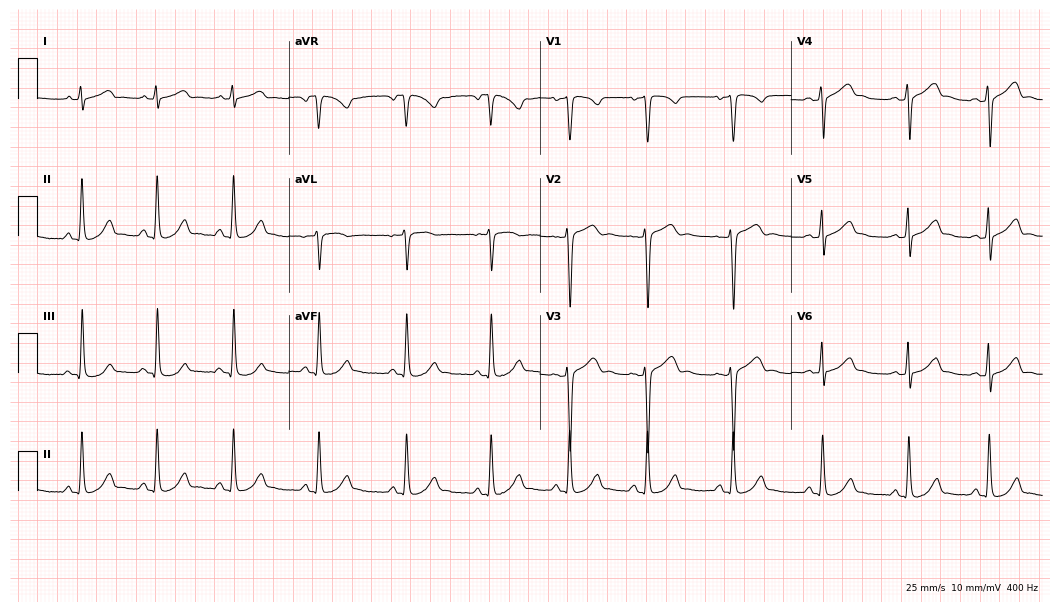
Standard 12-lead ECG recorded from a 23-year-old woman. Read as a normal ECG.